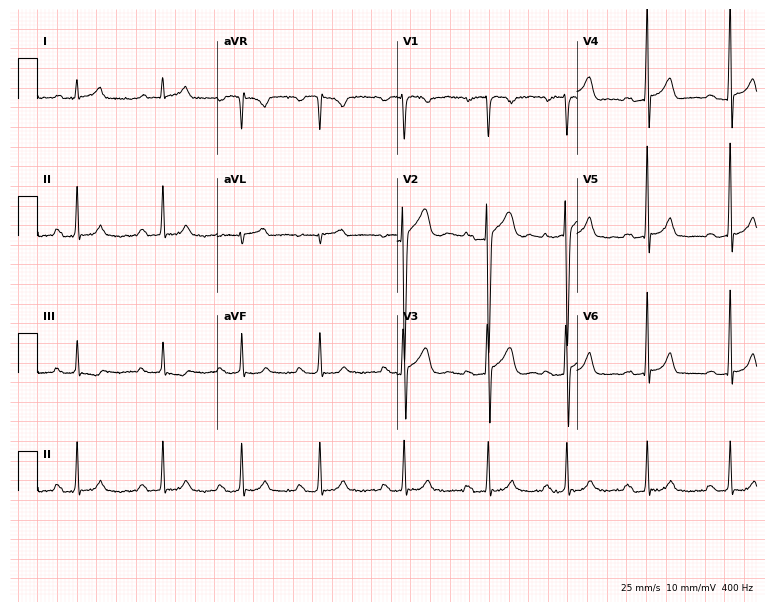
12-lead ECG from a 34-year-old man. No first-degree AV block, right bundle branch block, left bundle branch block, sinus bradycardia, atrial fibrillation or sinus tachycardia recorded for this tracing. Only these six findings were labelled.